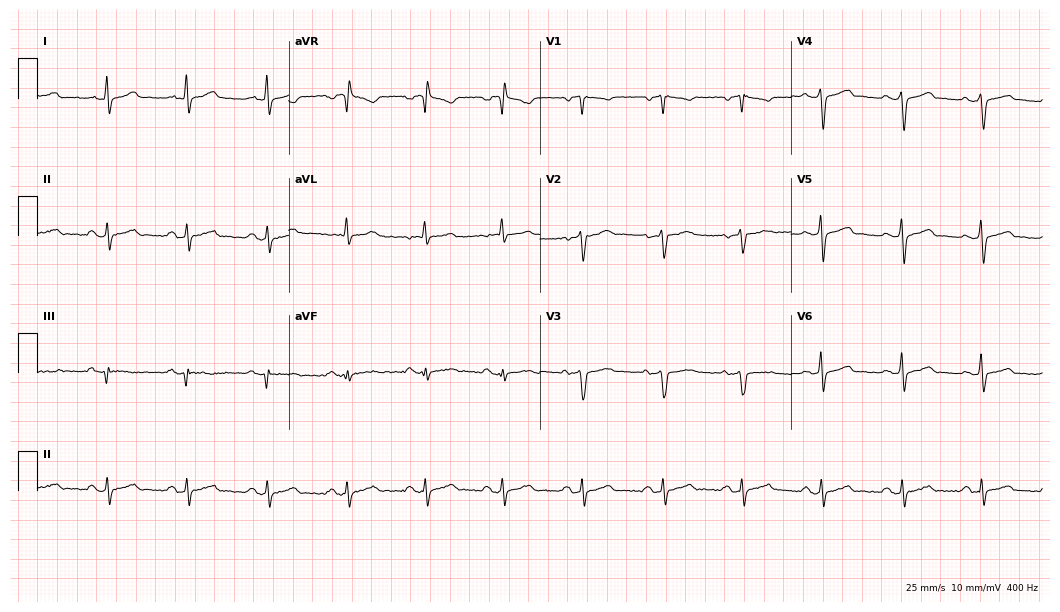
Electrocardiogram, a 39-year-old man. Of the six screened findings (first-degree AV block, right bundle branch block, left bundle branch block, sinus bradycardia, atrial fibrillation, sinus tachycardia), none is recorded.